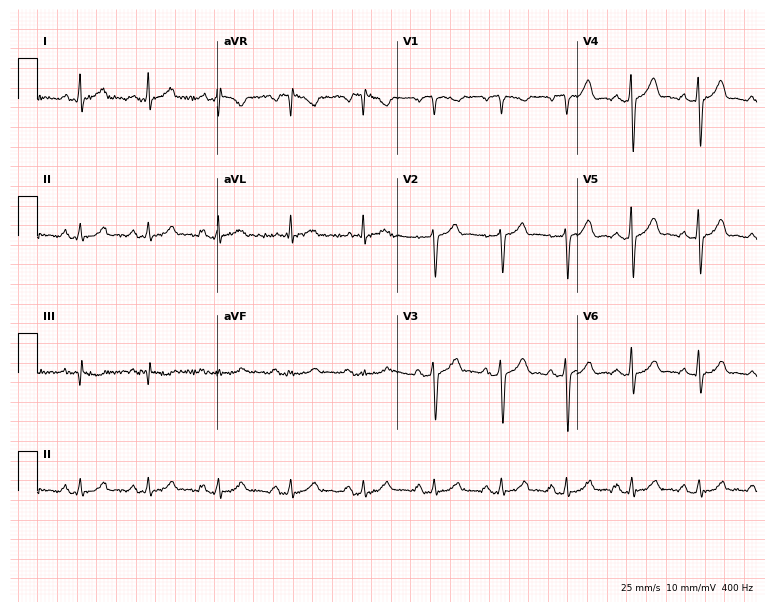
Standard 12-lead ECG recorded from a male patient, 53 years old (7.3-second recording at 400 Hz). Read as a normal ECG.